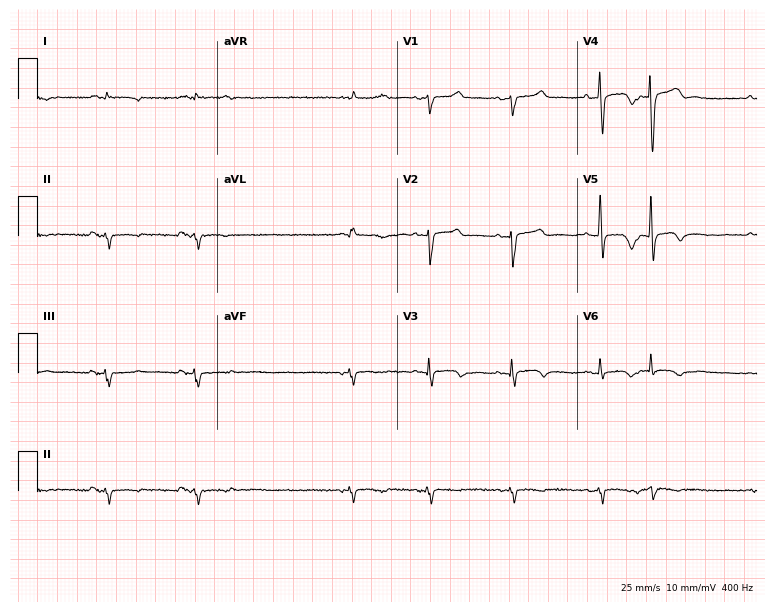
Resting 12-lead electrocardiogram (7.3-second recording at 400 Hz). Patient: a 73-year-old male. The tracing shows atrial fibrillation.